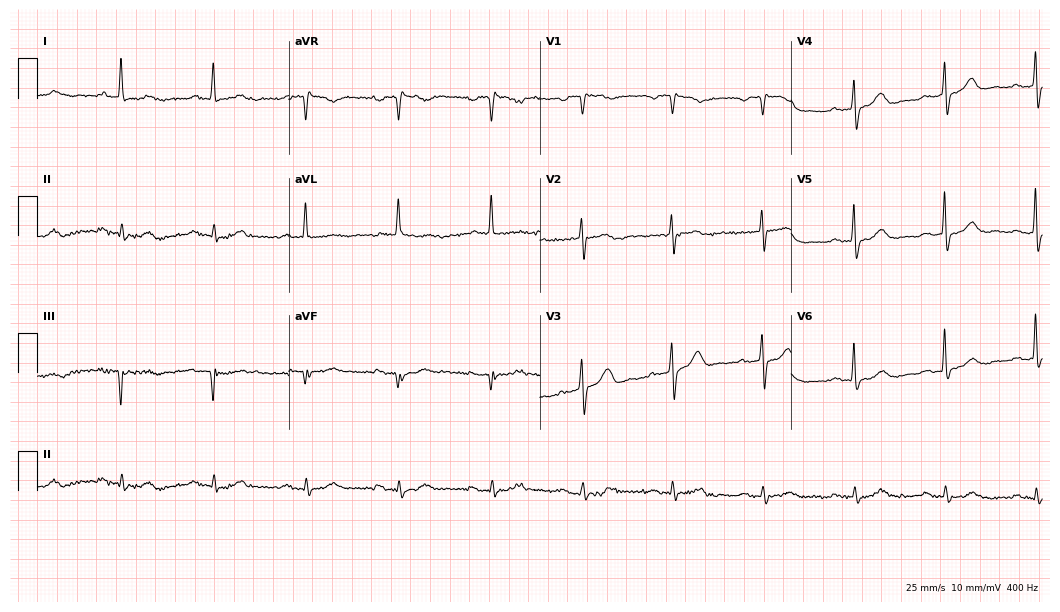
Electrocardiogram, a male patient, 81 years old. Interpretation includes first-degree AV block.